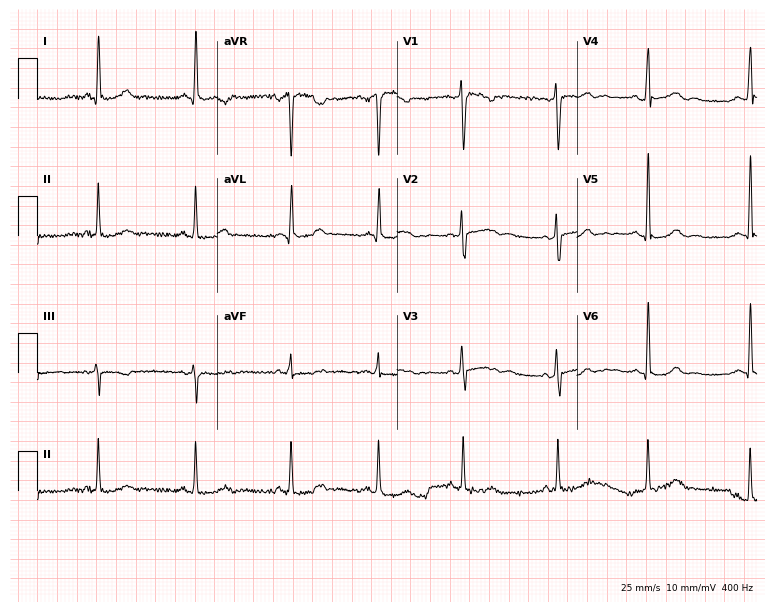
12-lead ECG (7.3-second recording at 400 Hz) from a 33-year-old female. Screened for six findings — first-degree AV block, right bundle branch block (RBBB), left bundle branch block (LBBB), sinus bradycardia, atrial fibrillation (AF), sinus tachycardia — none is recorded. Findings outside these six are not listed.